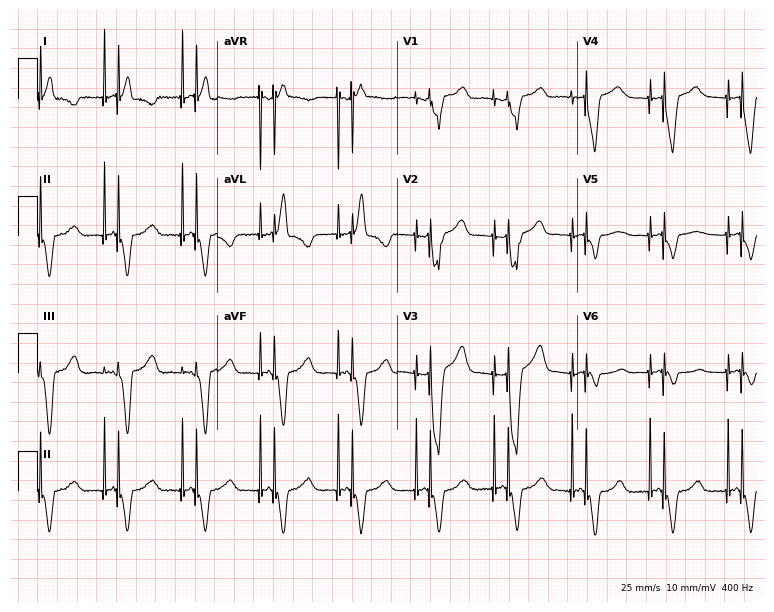
12-lead ECG (7.3-second recording at 400 Hz) from a female, 87 years old. Screened for six findings — first-degree AV block, right bundle branch block, left bundle branch block, sinus bradycardia, atrial fibrillation, sinus tachycardia — none is recorded.